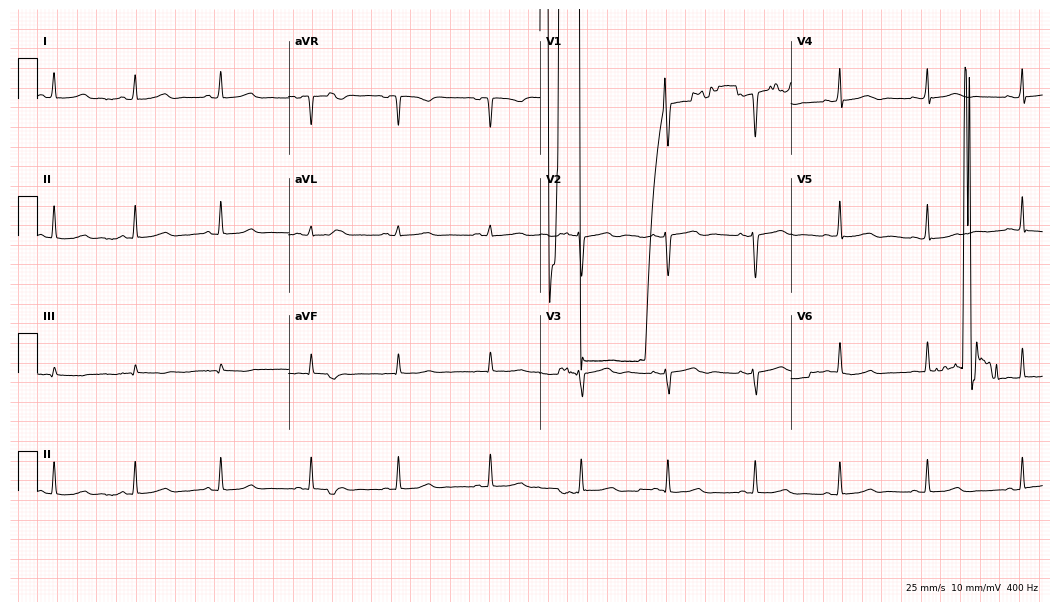
Standard 12-lead ECG recorded from a woman, 34 years old. None of these six findings is recorded: first-degree AV block, right bundle branch block, left bundle branch block, sinus bradycardia, atrial fibrillation, sinus tachycardia.